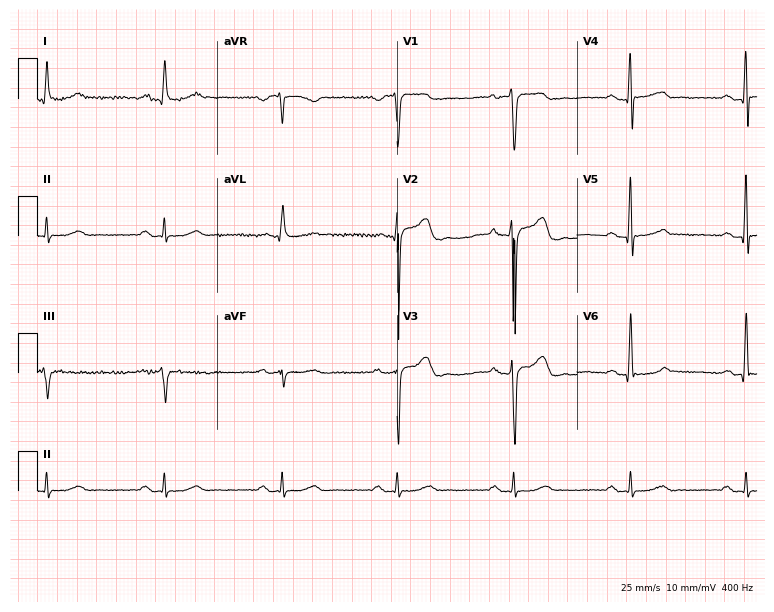
Electrocardiogram (7.3-second recording at 400 Hz), a male, 62 years old. Overall reading on record: normal ECG.